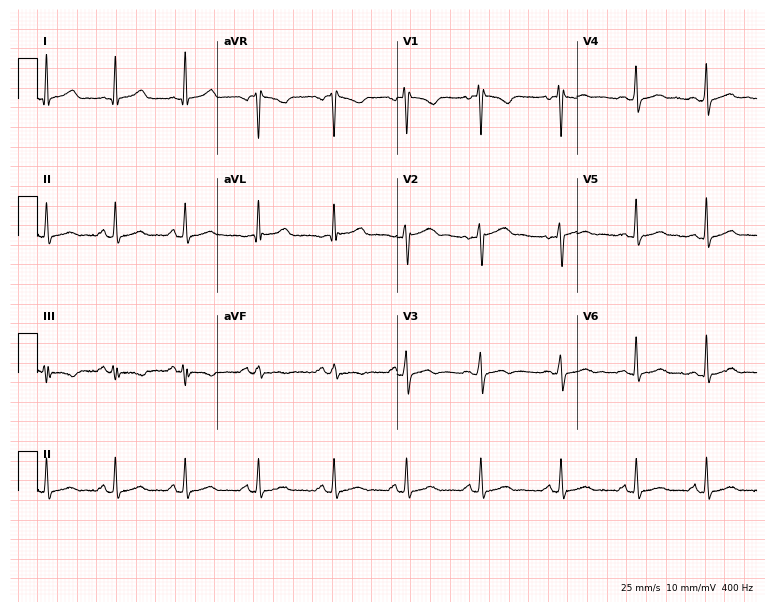
12-lead ECG from a 26-year-old female patient. Screened for six findings — first-degree AV block, right bundle branch block, left bundle branch block, sinus bradycardia, atrial fibrillation, sinus tachycardia — none is recorded. Other findings, if any, are not listed.